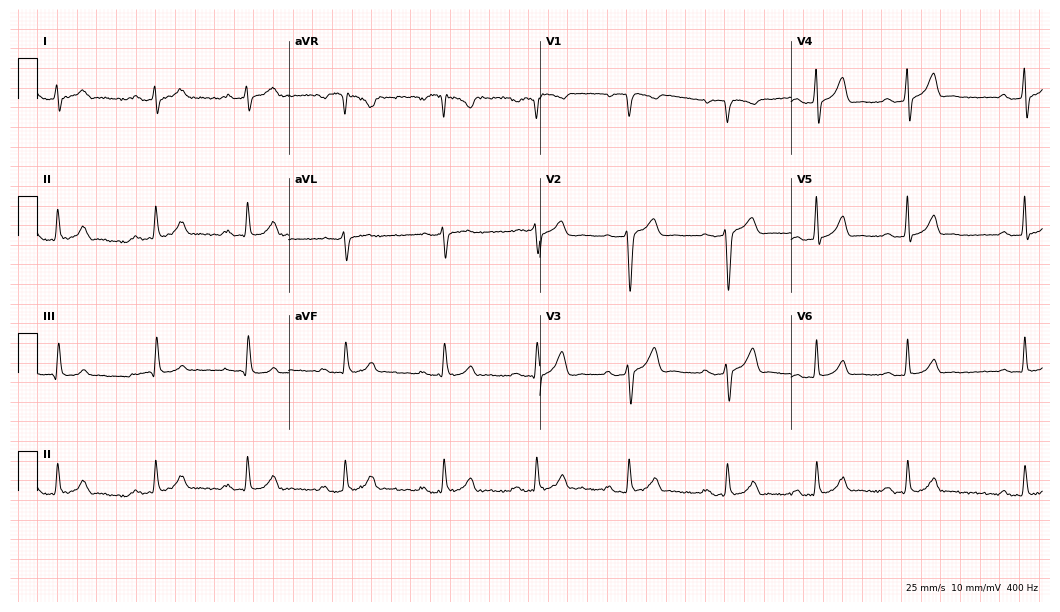
12-lead ECG from a male patient, 26 years old. Labelled as a normal ECG.